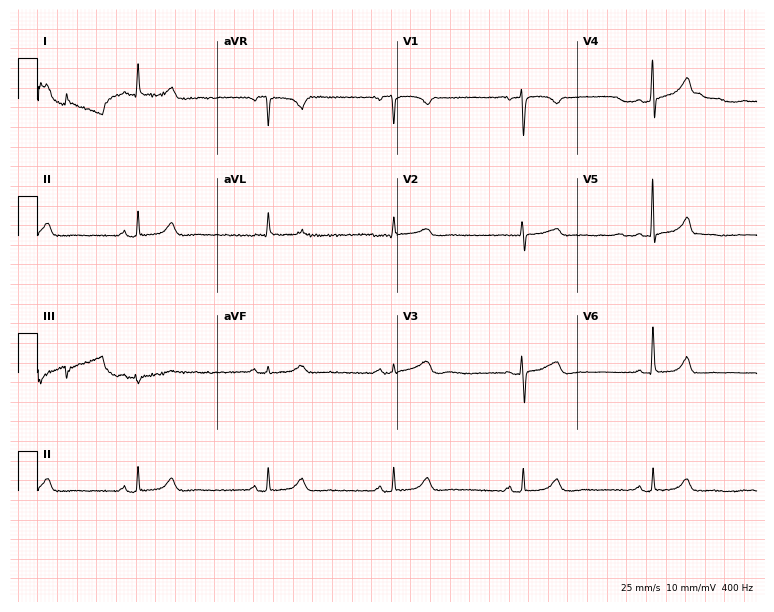
Standard 12-lead ECG recorded from a 66-year-old female patient. None of these six findings is recorded: first-degree AV block, right bundle branch block (RBBB), left bundle branch block (LBBB), sinus bradycardia, atrial fibrillation (AF), sinus tachycardia. Only these six findings were labelled.